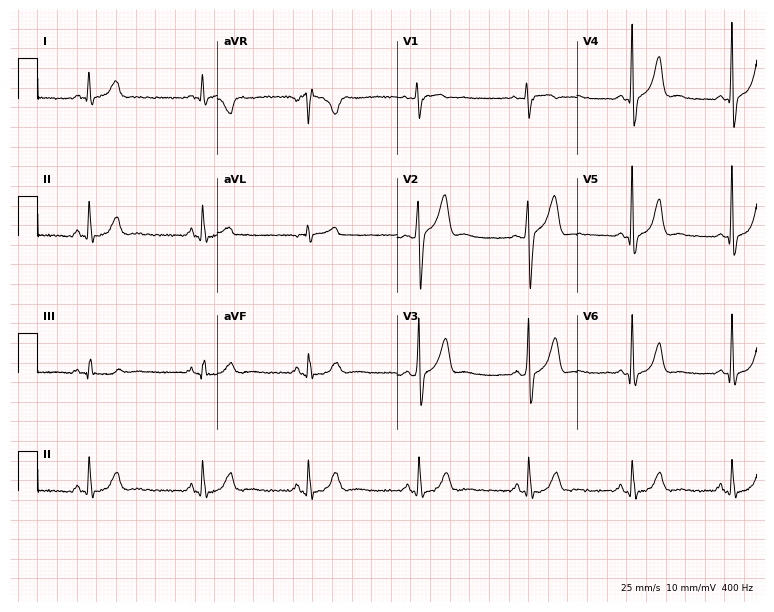
ECG (7.3-second recording at 400 Hz) — a 47-year-old male patient. Labelled as a normal ECG.